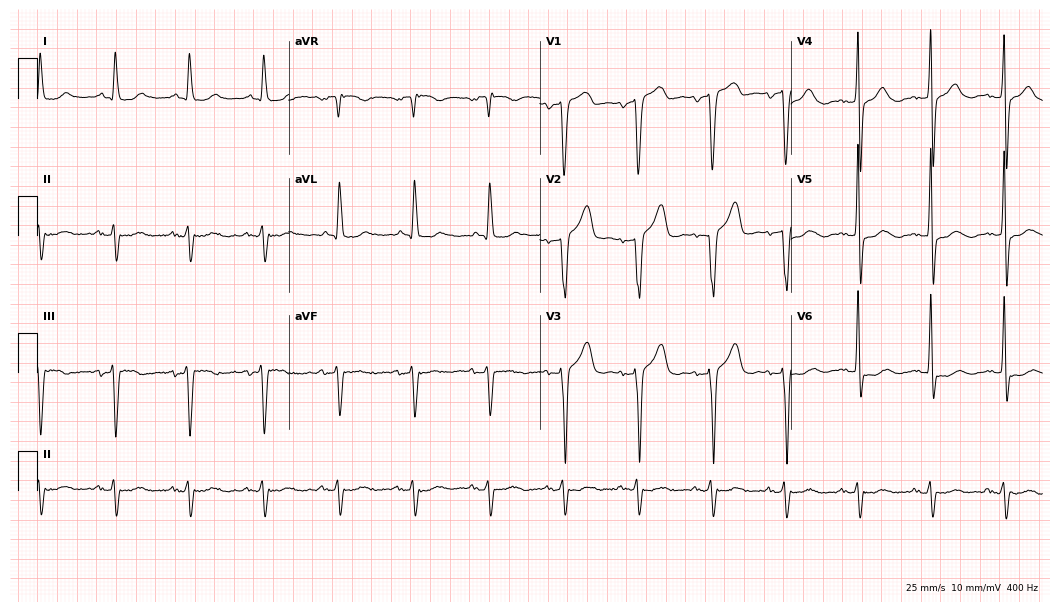
ECG (10.2-second recording at 400 Hz) — a male patient, 79 years old. Screened for six findings — first-degree AV block, right bundle branch block (RBBB), left bundle branch block (LBBB), sinus bradycardia, atrial fibrillation (AF), sinus tachycardia — none is recorded.